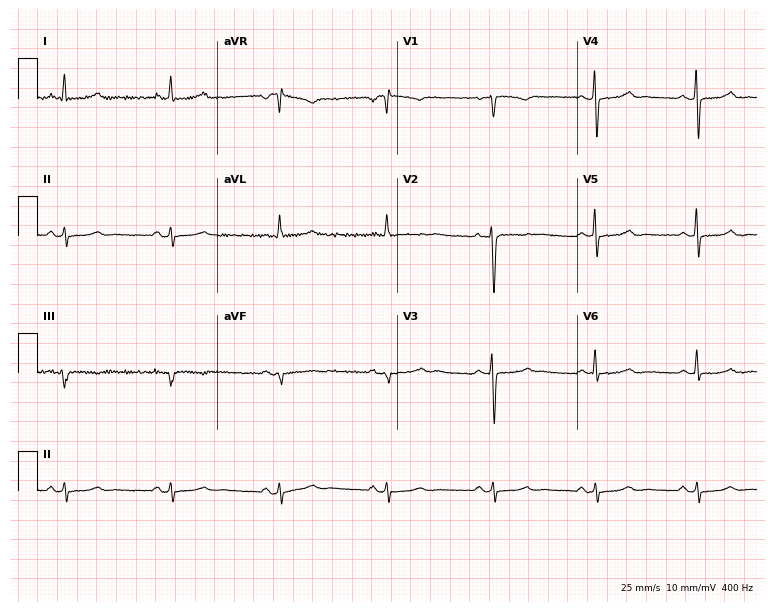
12-lead ECG from a female patient, 39 years old. No first-degree AV block, right bundle branch block, left bundle branch block, sinus bradycardia, atrial fibrillation or sinus tachycardia recorded for this tracing. Other findings, if any, are not listed.